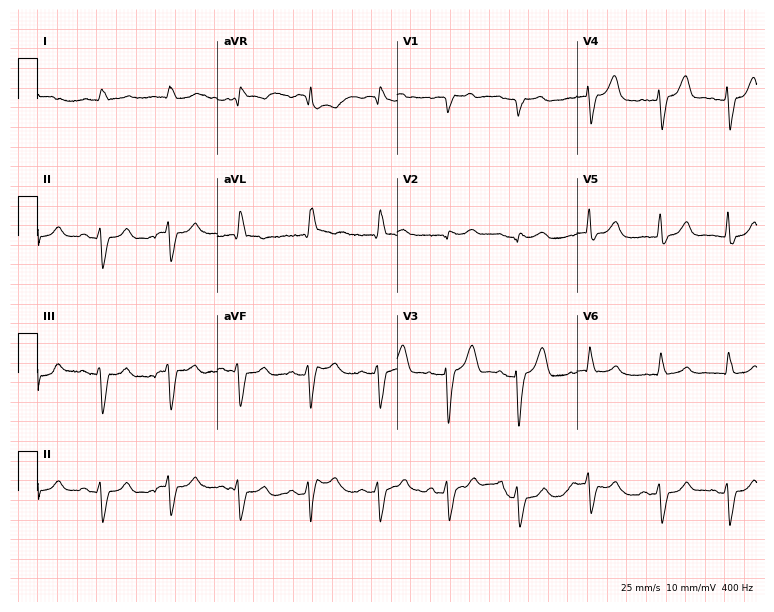
12-lead ECG from a male, 69 years old. Findings include right bundle branch block.